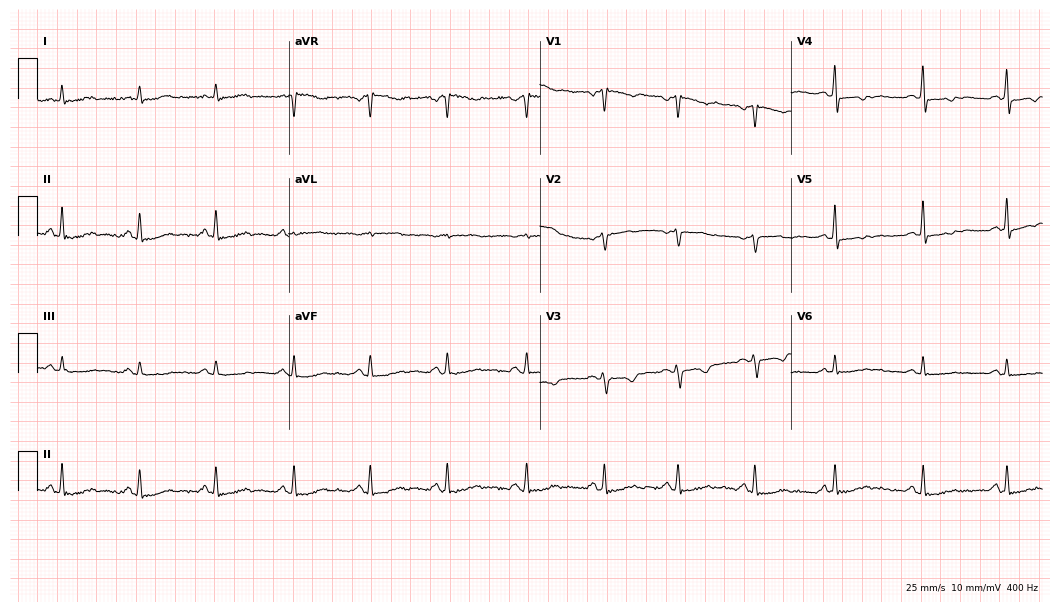
Standard 12-lead ECG recorded from a 49-year-old female (10.2-second recording at 400 Hz). None of these six findings is recorded: first-degree AV block, right bundle branch block, left bundle branch block, sinus bradycardia, atrial fibrillation, sinus tachycardia.